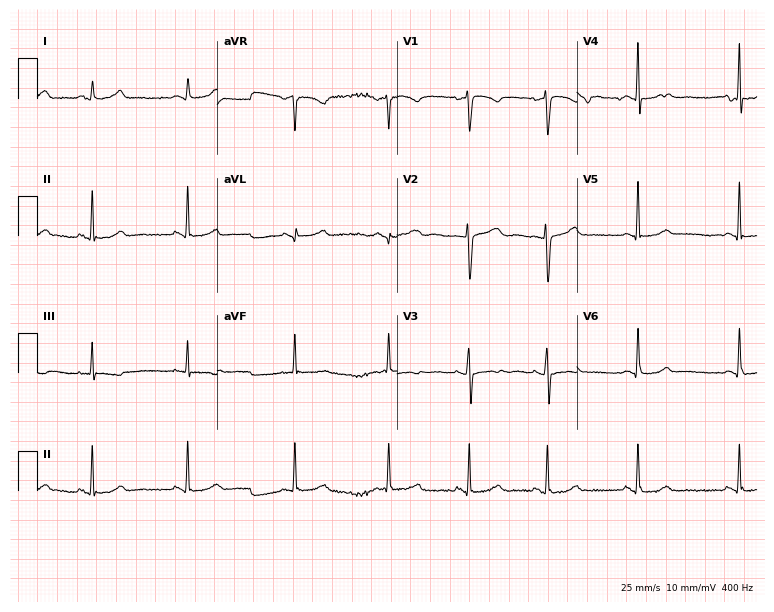
Standard 12-lead ECG recorded from a female, 32 years old. None of these six findings is recorded: first-degree AV block, right bundle branch block (RBBB), left bundle branch block (LBBB), sinus bradycardia, atrial fibrillation (AF), sinus tachycardia.